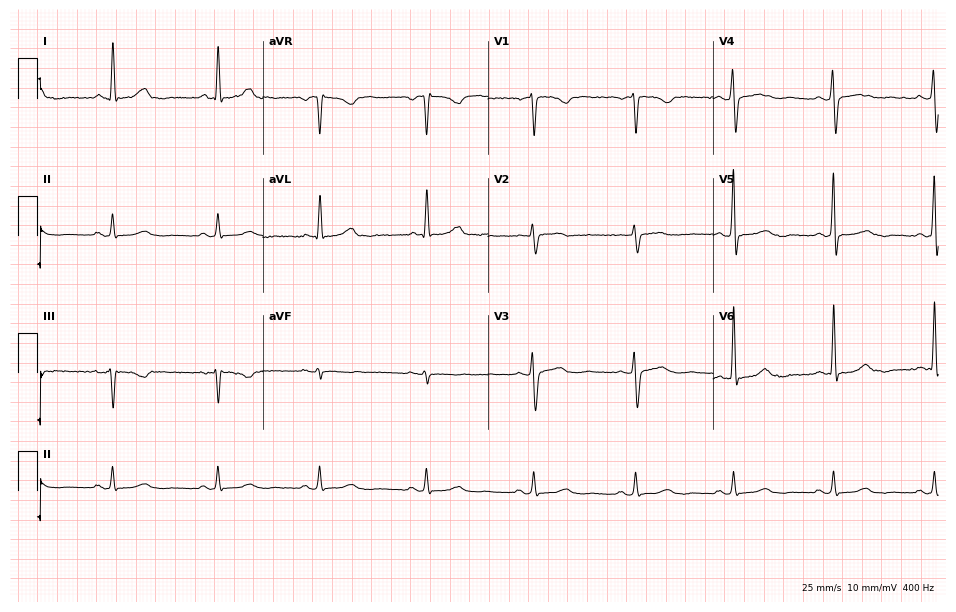
Resting 12-lead electrocardiogram. Patient: a female, 54 years old. None of these six findings is recorded: first-degree AV block, right bundle branch block (RBBB), left bundle branch block (LBBB), sinus bradycardia, atrial fibrillation (AF), sinus tachycardia. Only these six findings were labelled.